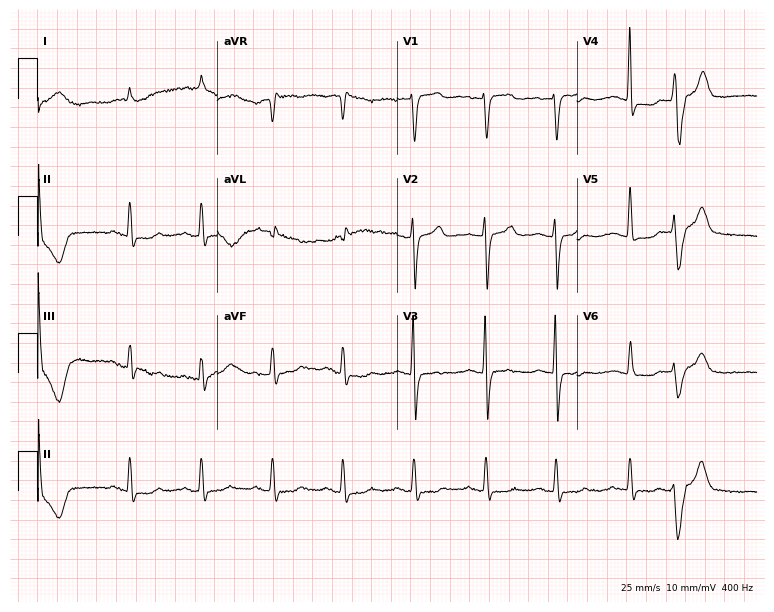
Resting 12-lead electrocardiogram. Patient: a 72-year-old female. None of these six findings is recorded: first-degree AV block, right bundle branch block (RBBB), left bundle branch block (LBBB), sinus bradycardia, atrial fibrillation (AF), sinus tachycardia.